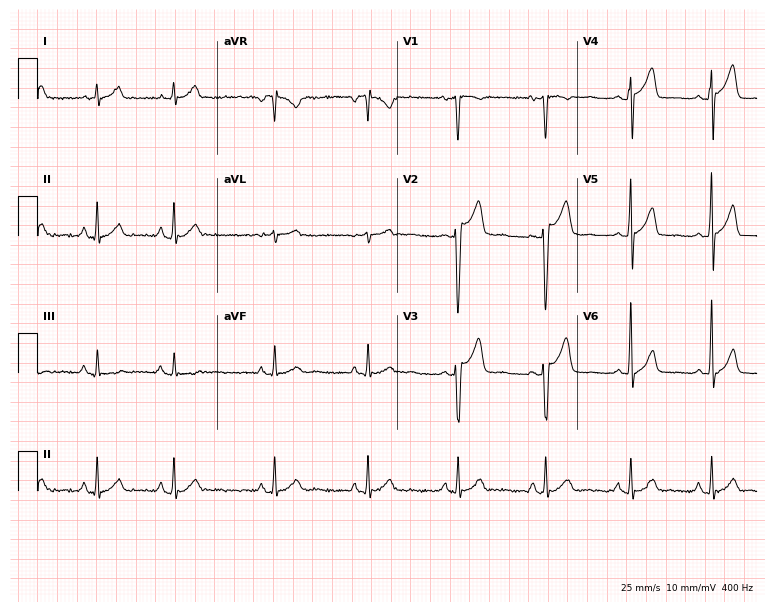
12-lead ECG from a 55-year-old male patient. Screened for six findings — first-degree AV block, right bundle branch block, left bundle branch block, sinus bradycardia, atrial fibrillation, sinus tachycardia — none is recorded.